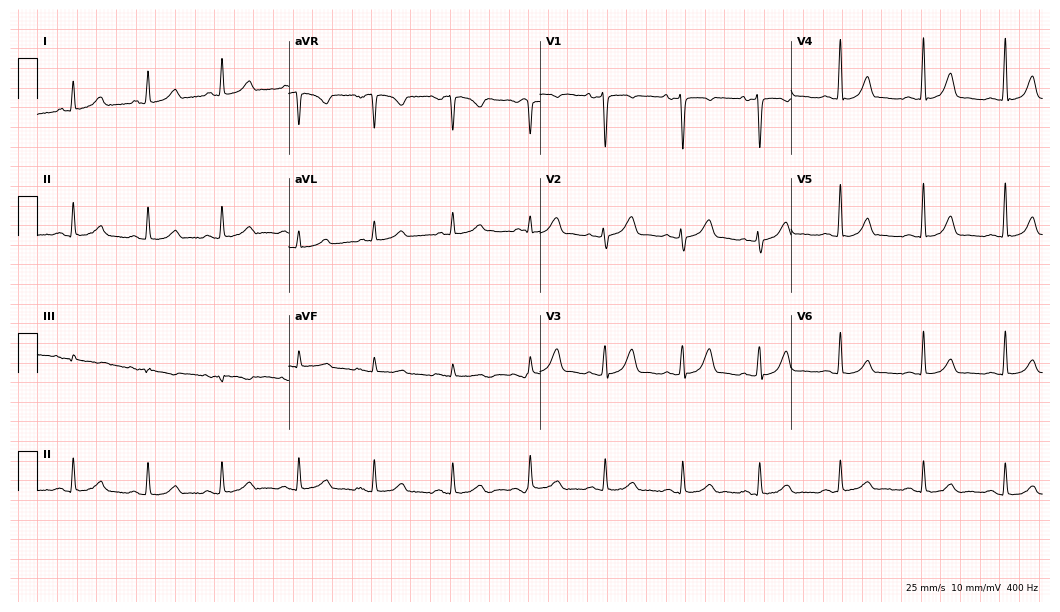
Resting 12-lead electrocardiogram. Patient: a woman, 31 years old. None of these six findings is recorded: first-degree AV block, right bundle branch block, left bundle branch block, sinus bradycardia, atrial fibrillation, sinus tachycardia. Other findings, if any, are not listed.